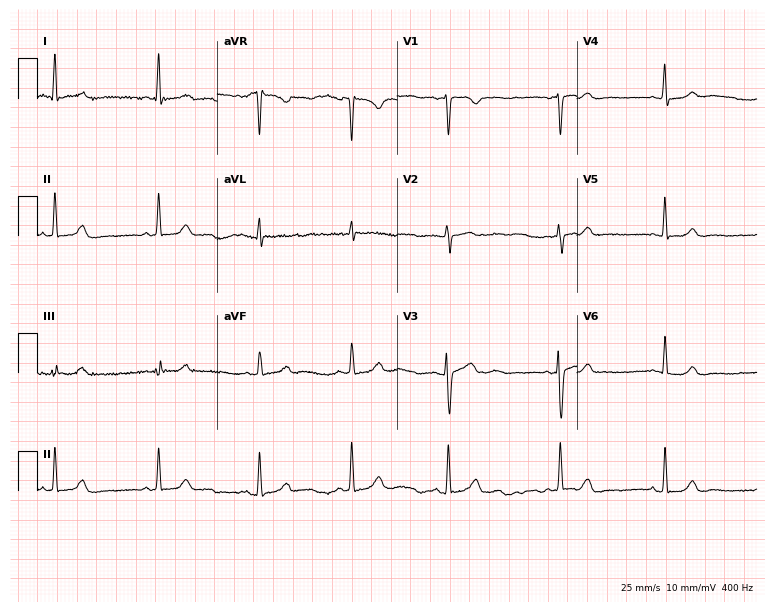
Standard 12-lead ECG recorded from a female, 29 years old (7.3-second recording at 400 Hz). Read as a normal ECG.